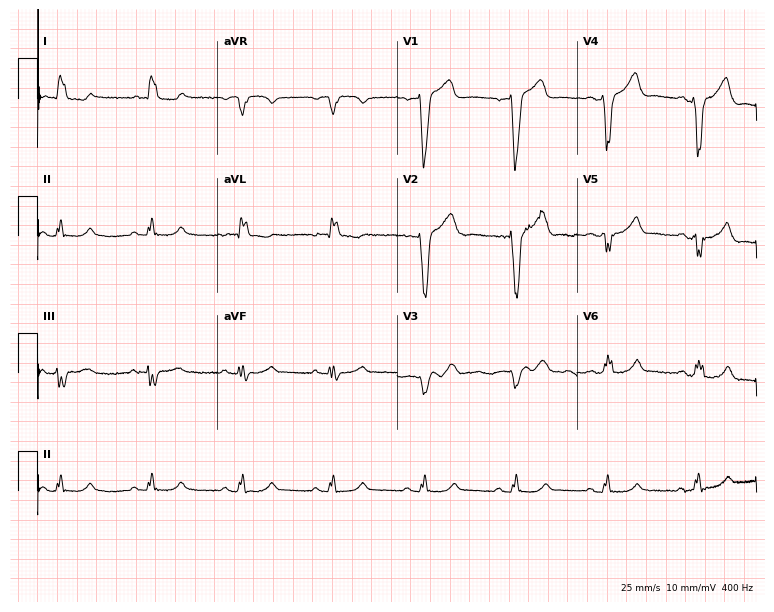
Resting 12-lead electrocardiogram. Patient: a man, 66 years old. The tracing shows left bundle branch block (LBBB).